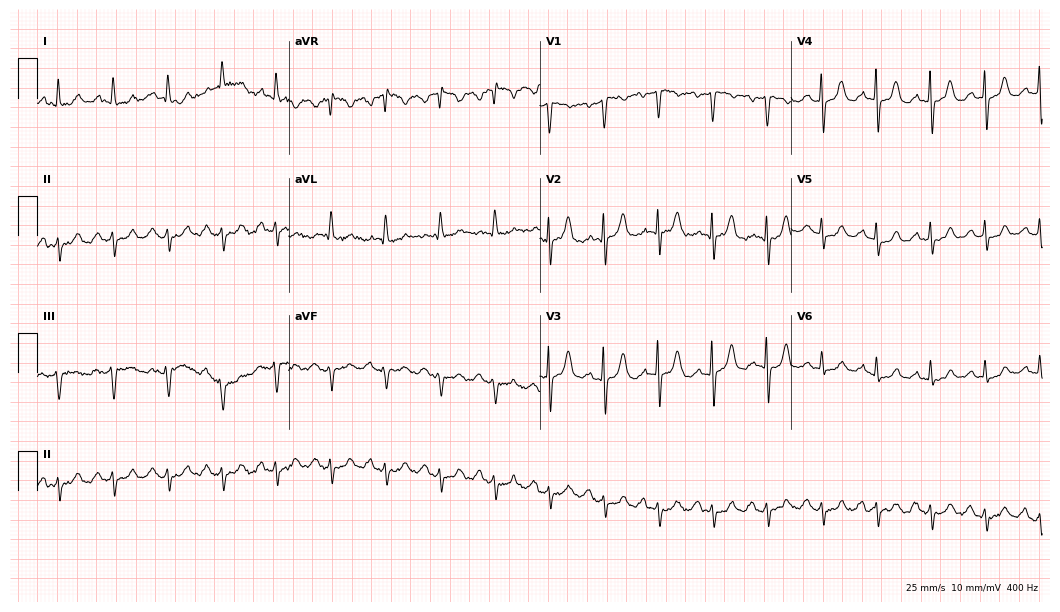
Resting 12-lead electrocardiogram (10.2-second recording at 400 Hz). Patient: a 61-year-old man. The tracing shows sinus tachycardia (a sinus rate of 100 beats per minute or more).